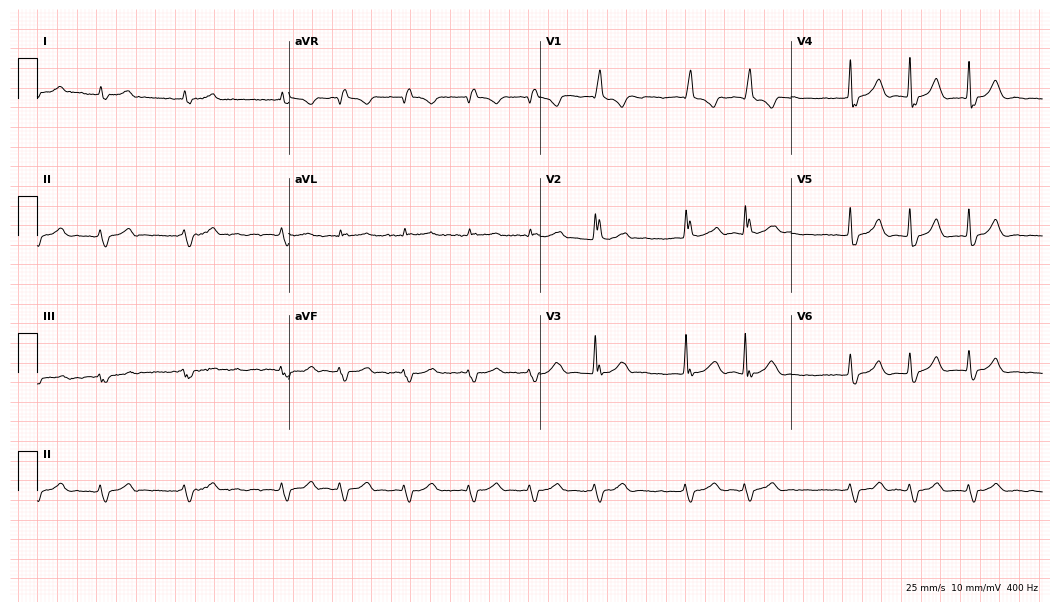
12-lead ECG from a male, 84 years old (10.2-second recording at 400 Hz). No first-degree AV block, right bundle branch block, left bundle branch block, sinus bradycardia, atrial fibrillation or sinus tachycardia recorded for this tracing.